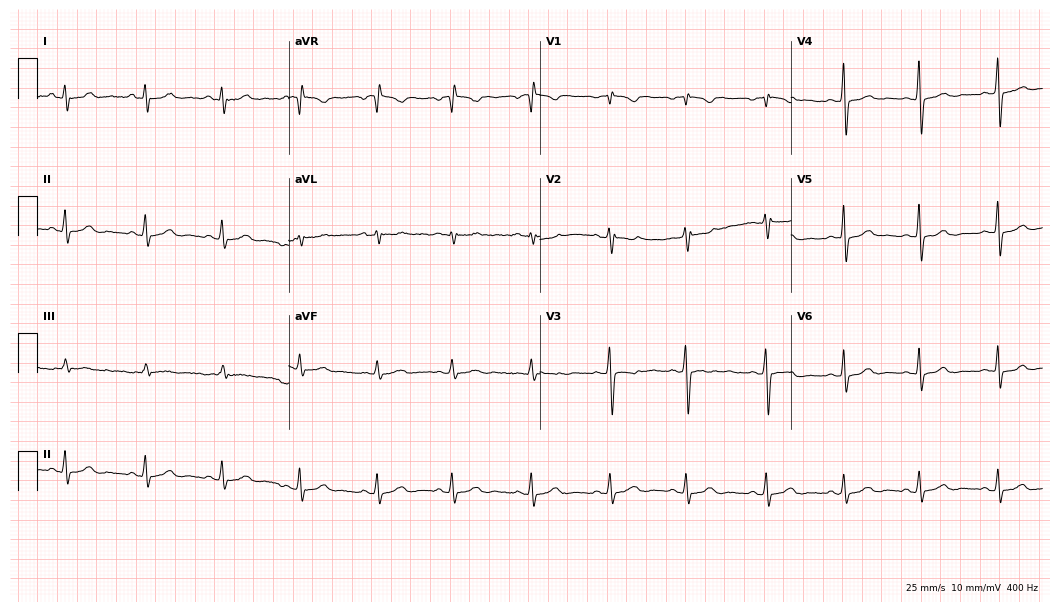
12-lead ECG from a female, 20 years old. Labelled as a normal ECG.